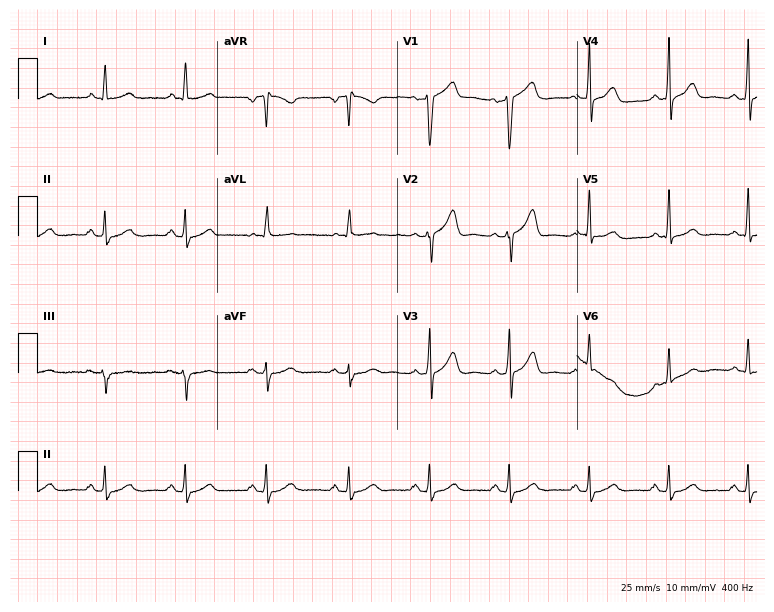
Electrocardiogram, a 49-year-old man. Overall reading on record: normal ECG.